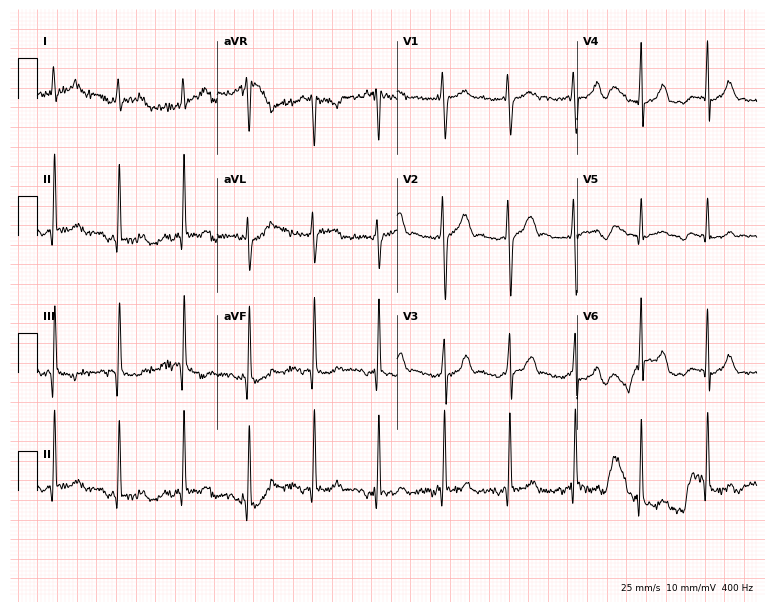
12-lead ECG (7.3-second recording at 400 Hz) from an 18-year-old female. Labelled as a normal ECG.